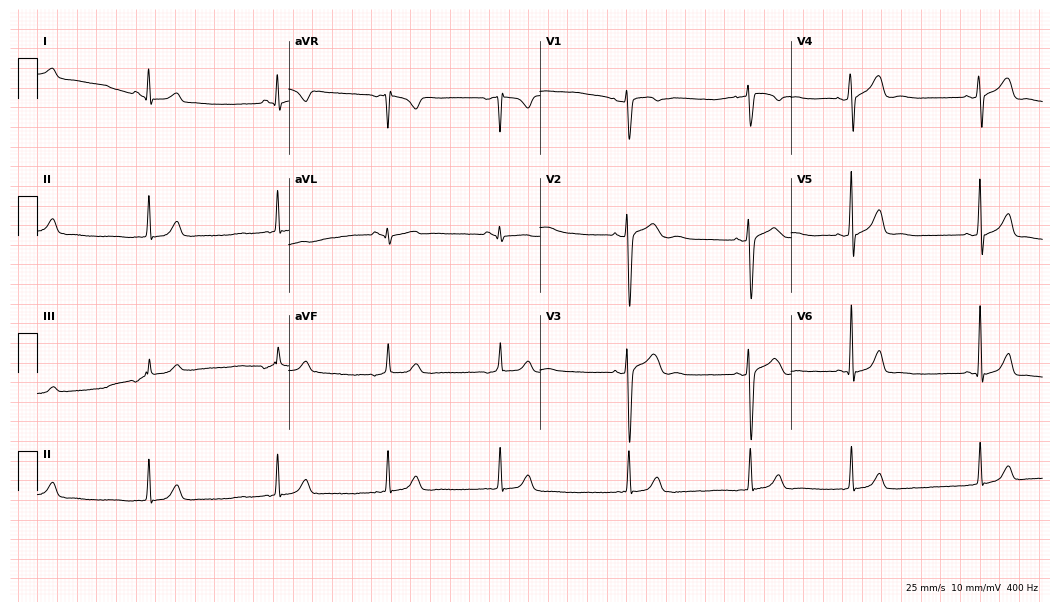
ECG — a female, 22 years old. Findings include sinus bradycardia (a sinus rate of 50 beats per minute or less).